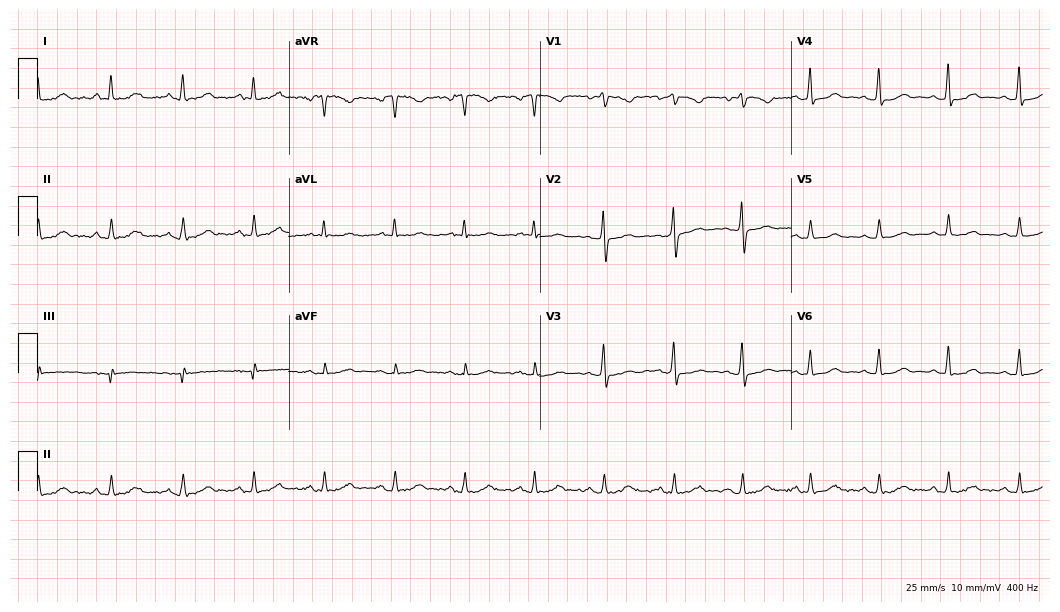
Resting 12-lead electrocardiogram. Patient: a 58-year-old female. Read as a normal ECG.